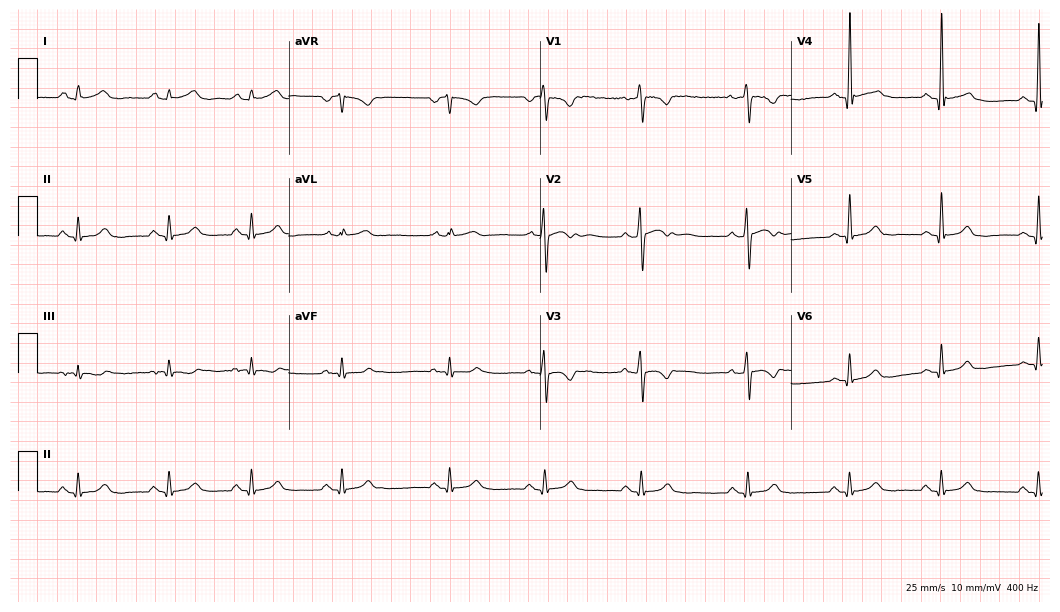
Resting 12-lead electrocardiogram (10.2-second recording at 400 Hz). Patient: a 21-year-old male. Read as a normal ECG.